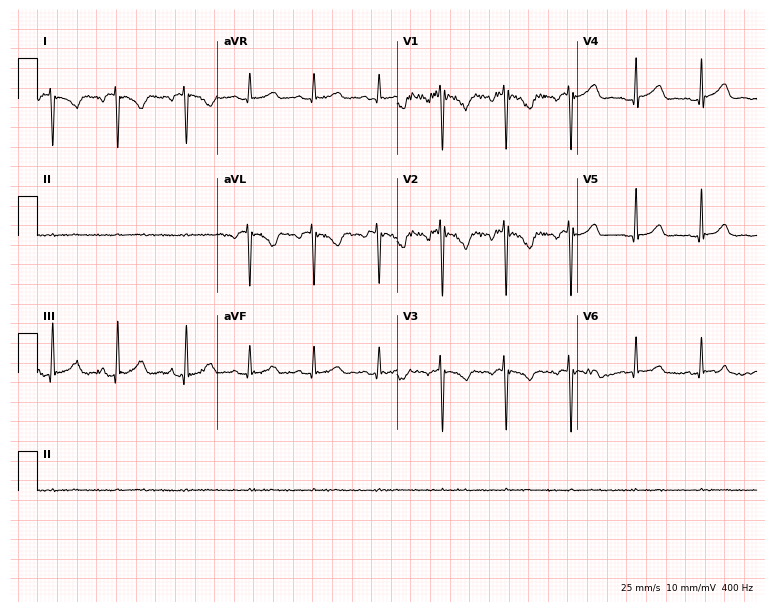
Standard 12-lead ECG recorded from a woman, 24 years old (7.3-second recording at 400 Hz). None of these six findings is recorded: first-degree AV block, right bundle branch block, left bundle branch block, sinus bradycardia, atrial fibrillation, sinus tachycardia. Only these six findings were labelled.